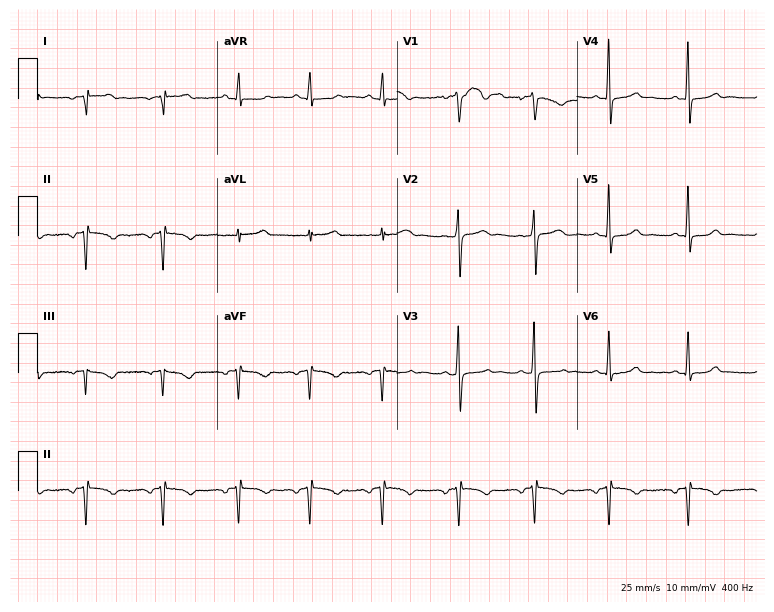
12-lead ECG from a female, 34 years old. No first-degree AV block, right bundle branch block (RBBB), left bundle branch block (LBBB), sinus bradycardia, atrial fibrillation (AF) or sinus tachycardia recorded for this tracing. Other findings, if any, are not listed.